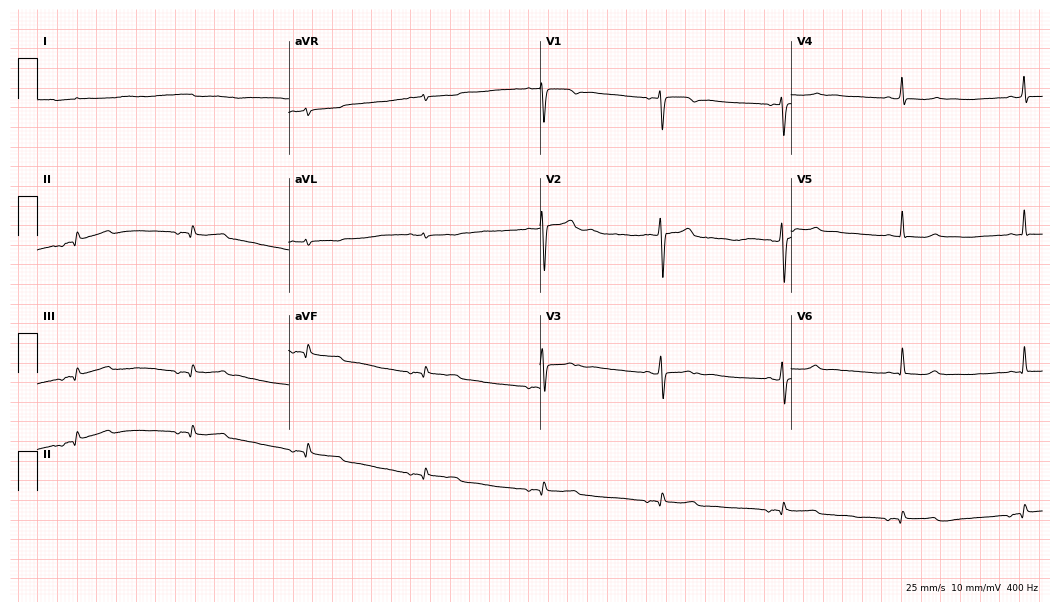
12-lead ECG (10.2-second recording at 400 Hz) from a woman, 61 years old. Screened for six findings — first-degree AV block, right bundle branch block, left bundle branch block, sinus bradycardia, atrial fibrillation, sinus tachycardia — none is recorded.